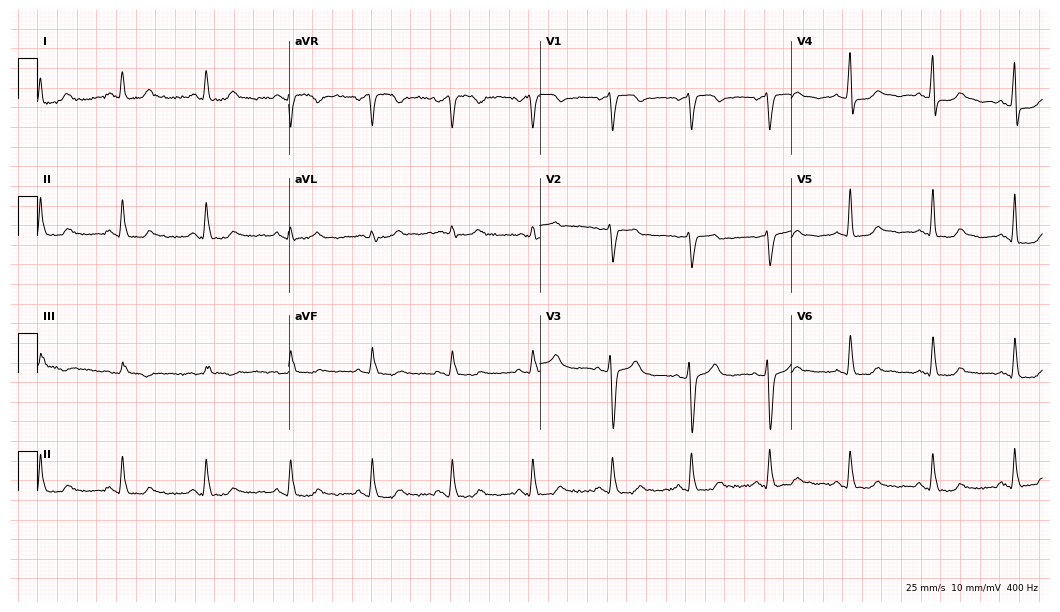
Electrocardiogram (10.2-second recording at 400 Hz), a female patient, 55 years old. Of the six screened findings (first-degree AV block, right bundle branch block, left bundle branch block, sinus bradycardia, atrial fibrillation, sinus tachycardia), none is recorded. Only these six findings were labelled.